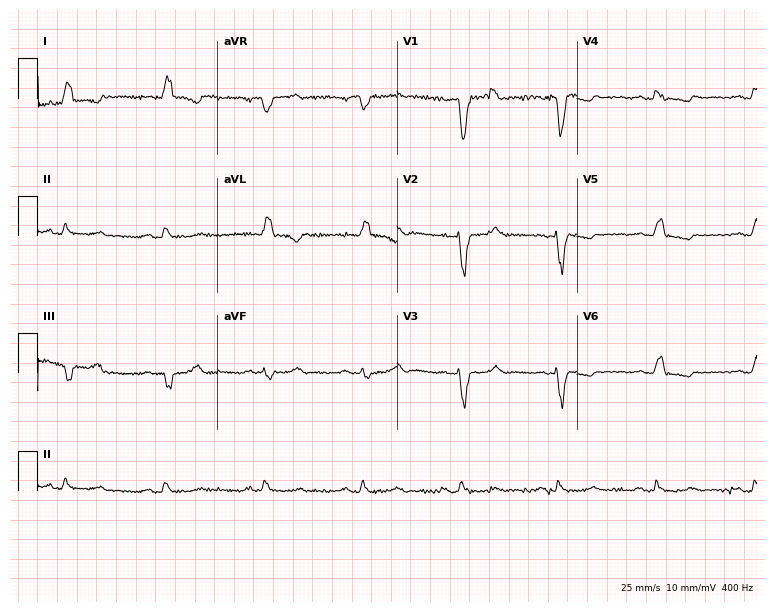
ECG (7.3-second recording at 400 Hz) — a female, 66 years old. Findings include left bundle branch block.